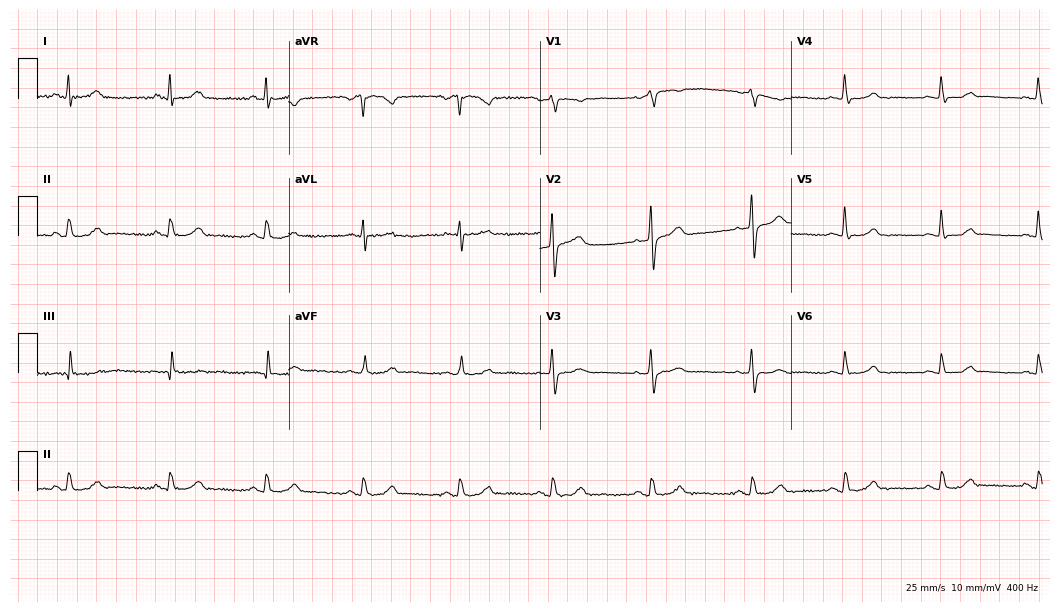
12-lead ECG from a female patient, 57 years old (10.2-second recording at 400 Hz). Recorded interpretation: within normal limits.